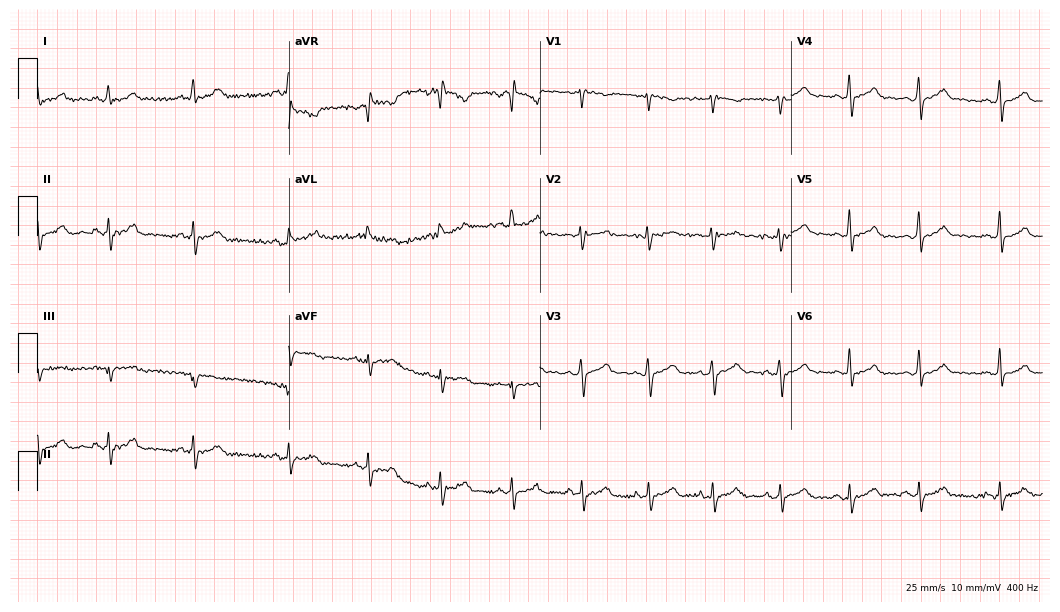
Resting 12-lead electrocardiogram. Patient: a 29-year-old female. Read as a normal ECG.